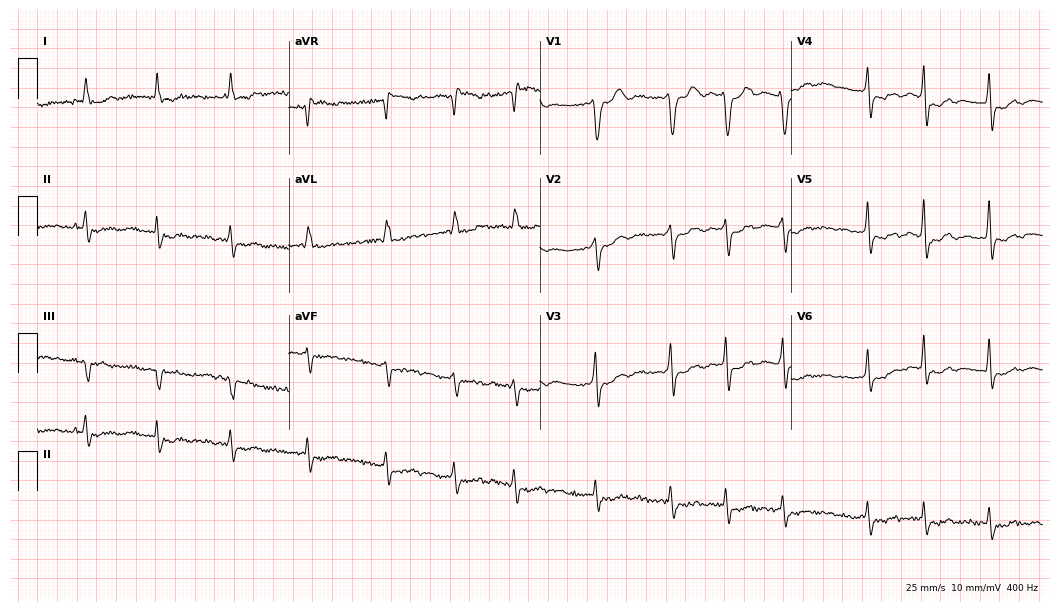
ECG (10.2-second recording at 400 Hz) — an 80-year-old female. Findings include atrial fibrillation (AF).